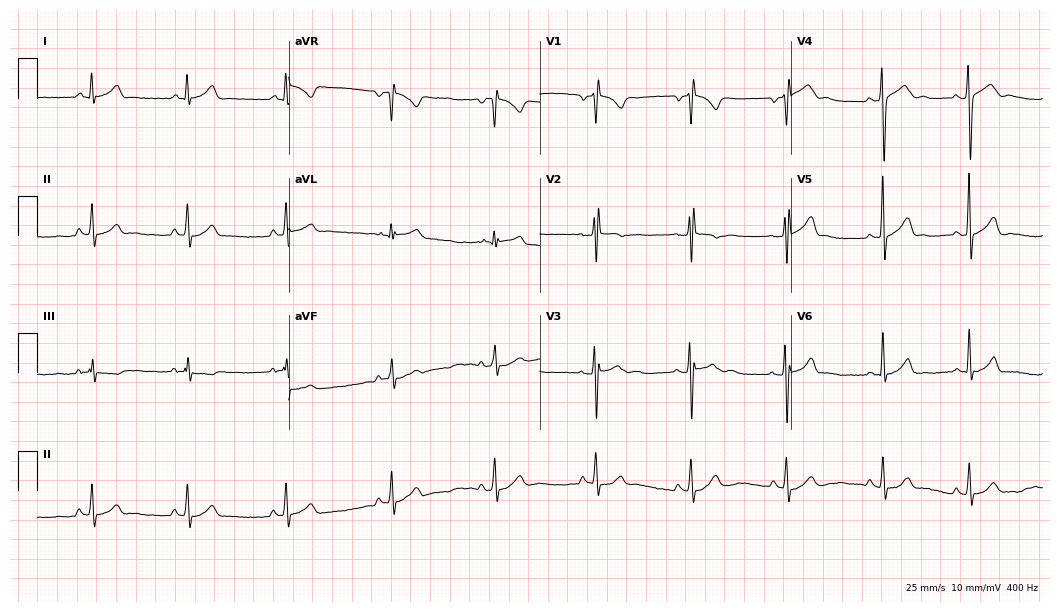
12-lead ECG (10.2-second recording at 400 Hz) from a male, 19 years old. Labelled as a normal ECG.